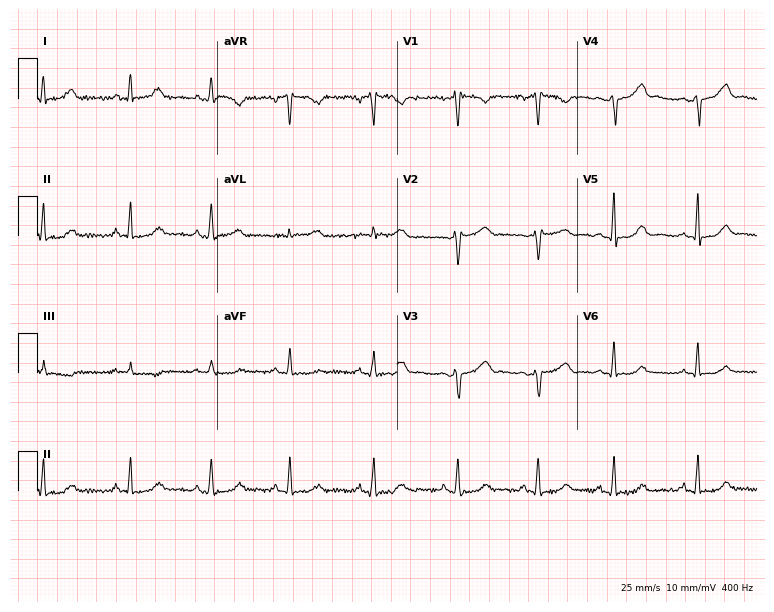
Resting 12-lead electrocardiogram (7.3-second recording at 400 Hz). Patient: a female, 42 years old. Read as a normal ECG.